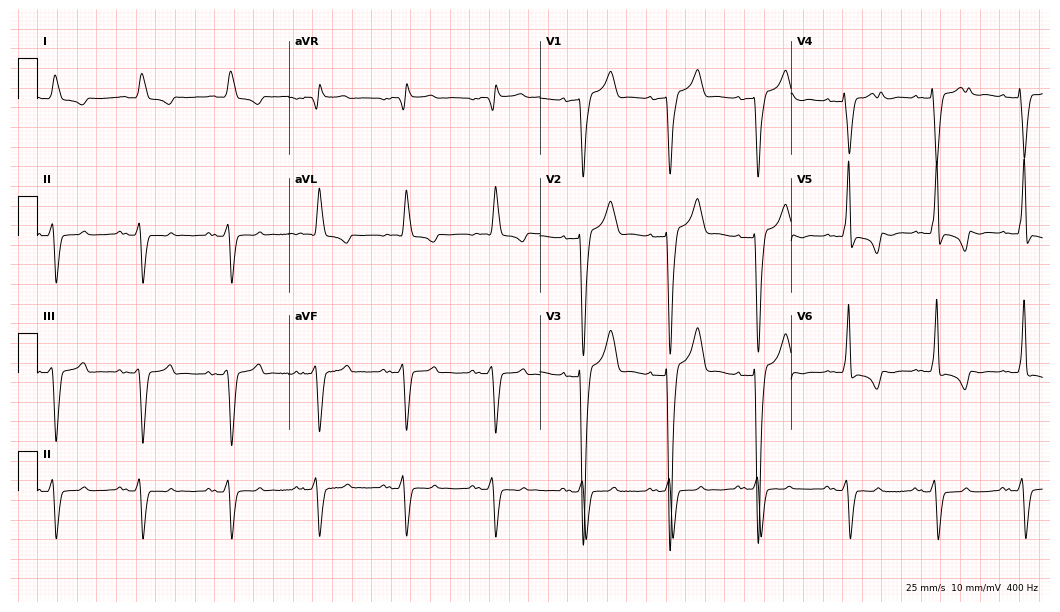
12-lead ECG from a man, 79 years old. Shows left bundle branch block.